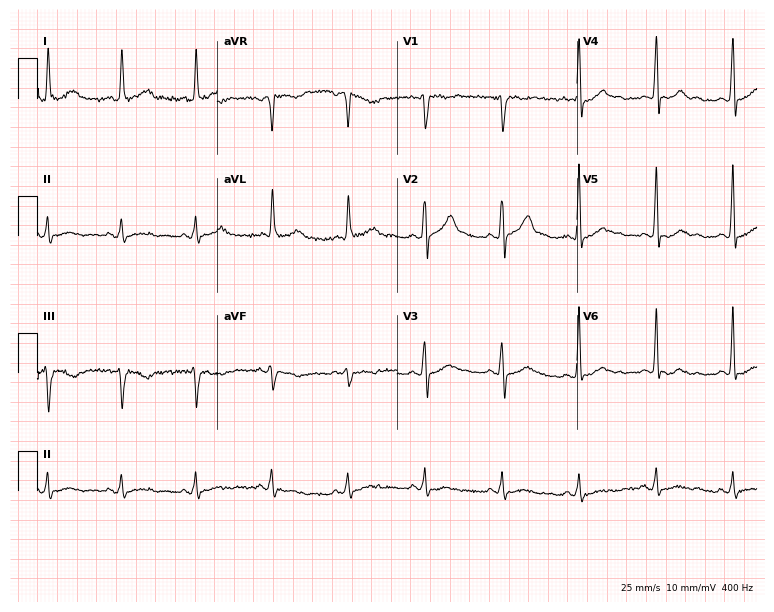
Electrocardiogram (7.3-second recording at 400 Hz), a man, 46 years old. Of the six screened findings (first-degree AV block, right bundle branch block, left bundle branch block, sinus bradycardia, atrial fibrillation, sinus tachycardia), none is recorded. Other findings, if any, are not listed.